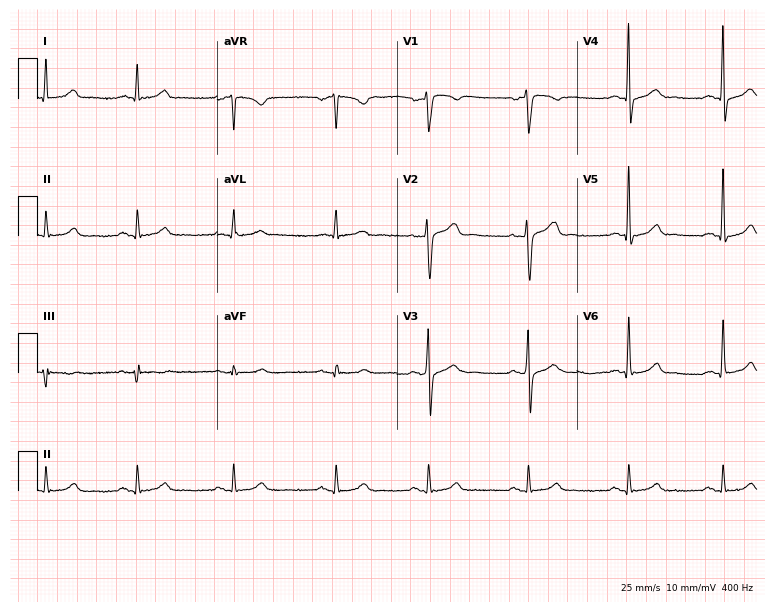
Resting 12-lead electrocardiogram. Patient: a 59-year-old male. None of these six findings is recorded: first-degree AV block, right bundle branch block, left bundle branch block, sinus bradycardia, atrial fibrillation, sinus tachycardia.